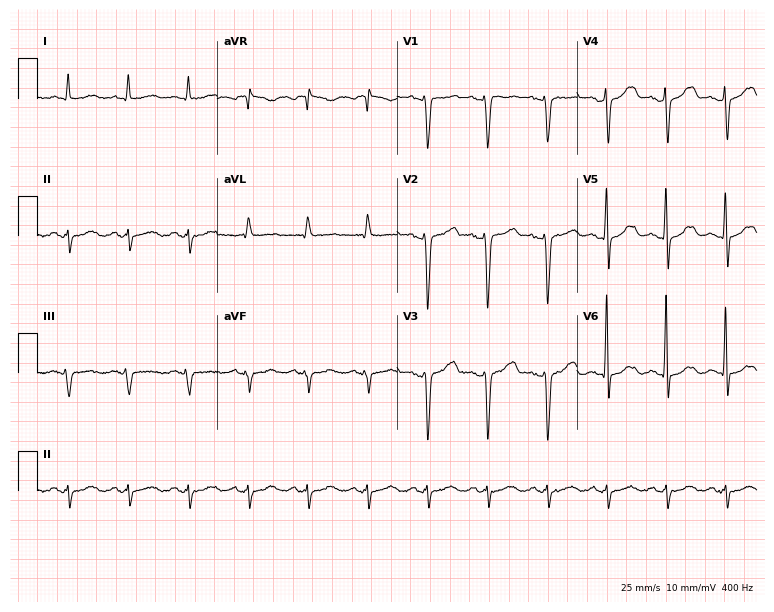
12-lead ECG from a 72-year-old man (7.3-second recording at 400 Hz). No first-degree AV block, right bundle branch block, left bundle branch block, sinus bradycardia, atrial fibrillation or sinus tachycardia recorded for this tracing.